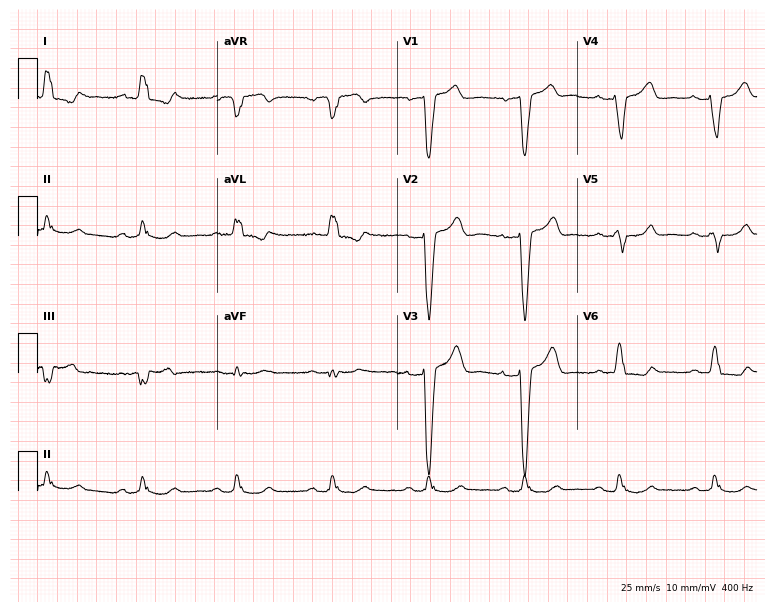
ECG — a female, 70 years old. Findings include left bundle branch block.